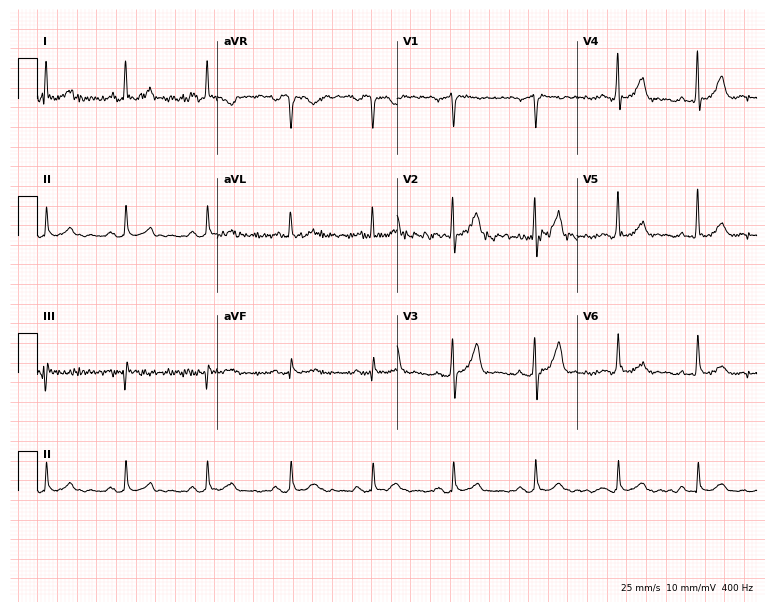
12-lead ECG from a 67-year-old male patient (7.3-second recording at 400 Hz). No first-degree AV block, right bundle branch block, left bundle branch block, sinus bradycardia, atrial fibrillation or sinus tachycardia recorded for this tracing. Findings outside these six are not listed.